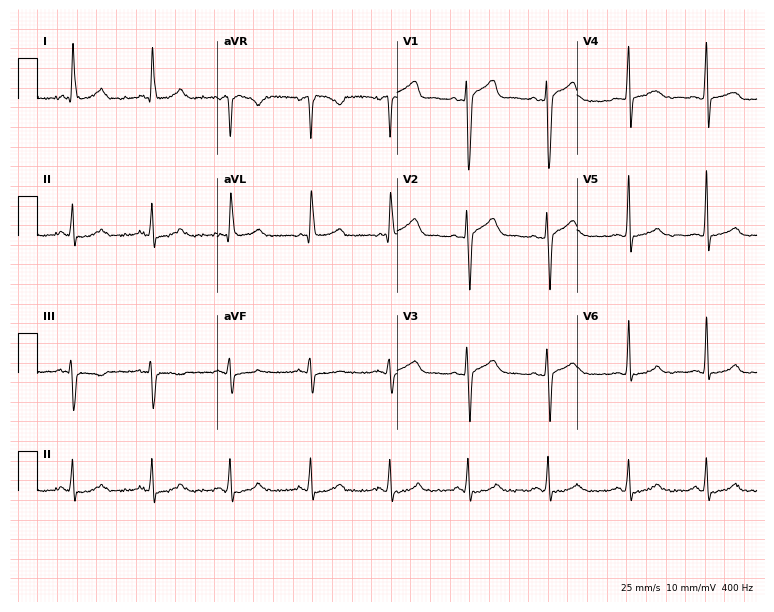
ECG — a man, 32 years old. Labelled as a normal ECG.